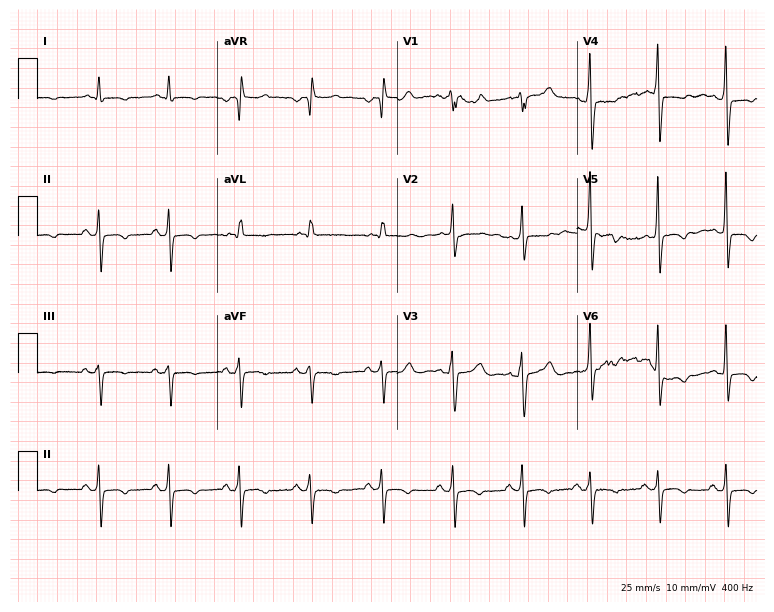
Standard 12-lead ECG recorded from a male, 72 years old (7.3-second recording at 400 Hz). None of these six findings is recorded: first-degree AV block, right bundle branch block, left bundle branch block, sinus bradycardia, atrial fibrillation, sinus tachycardia. Other findings, if any, are not listed.